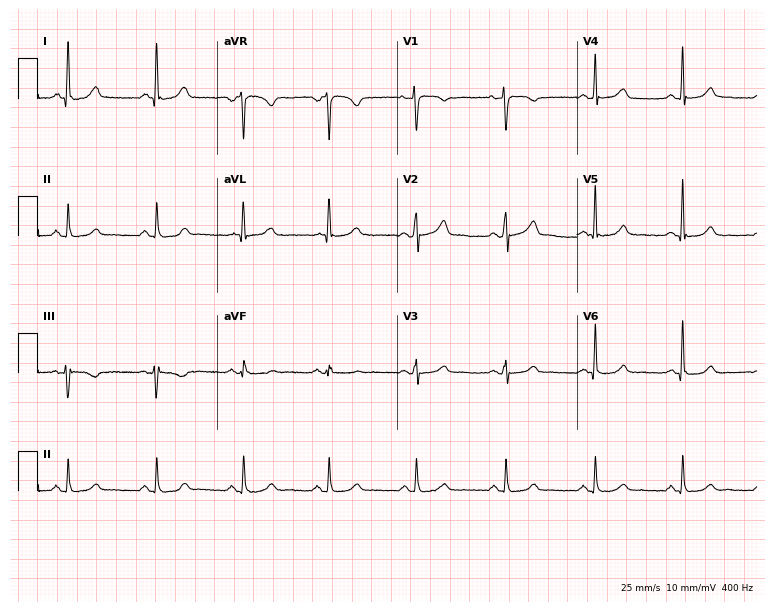
12-lead ECG from a female, 58 years old. Screened for six findings — first-degree AV block, right bundle branch block (RBBB), left bundle branch block (LBBB), sinus bradycardia, atrial fibrillation (AF), sinus tachycardia — none is recorded. Only these six findings were labelled.